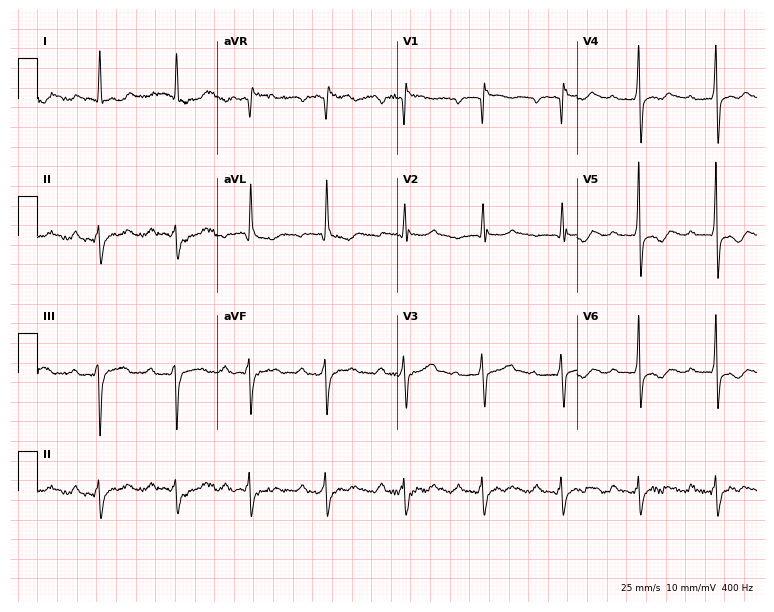
12-lead ECG from a 60-year-old male (7.3-second recording at 400 Hz). No first-degree AV block, right bundle branch block, left bundle branch block, sinus bradycardia, atrial fibrillation or sinus tachycardia recorded for this tracing. Other findings, if any, are not listed.